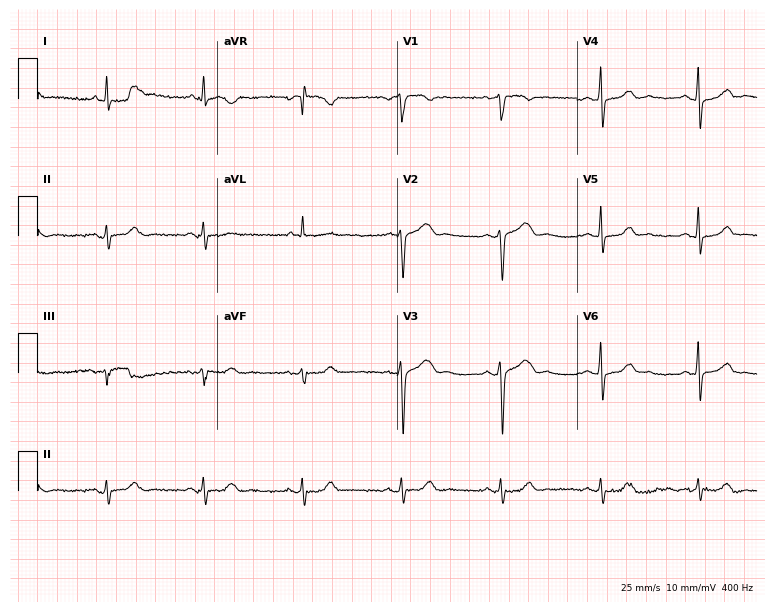
Electrocardiogram, a 45-year-old male. Overall reading on record: normal ECG.